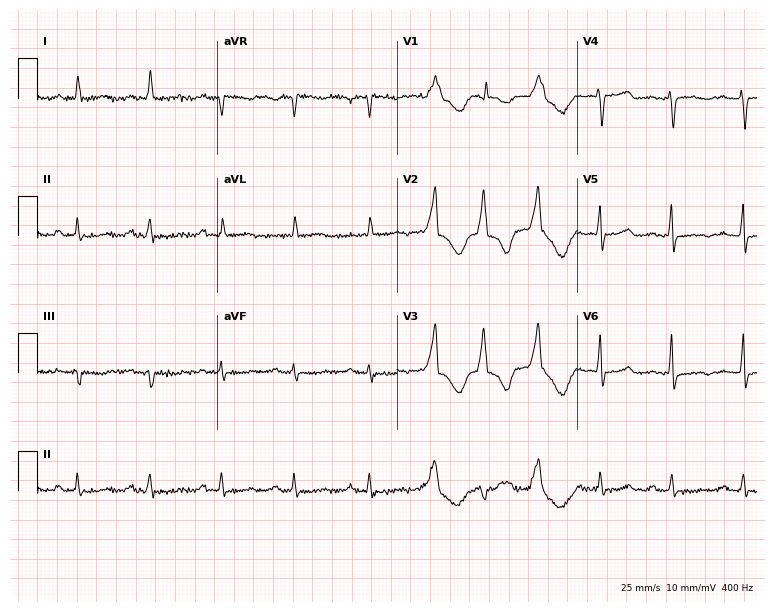
12-lead ECG from a 44-year-old female patient. Screened for six findings — first-degree AV block, right bundle branch block, left bundle branch block, sinus bradycardia, atrial fibrillation, sinus tachycardia — none is recorded. Only these six findings were labelled.